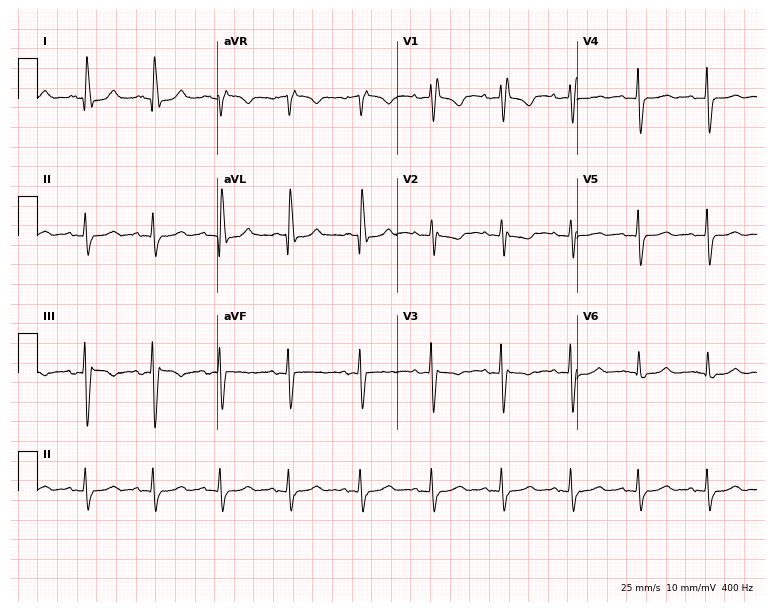
12-lead ECG (7.3-second recording at 400 Hz) from a female, 76 years old. Findings include right bundle branch block (RBBB).